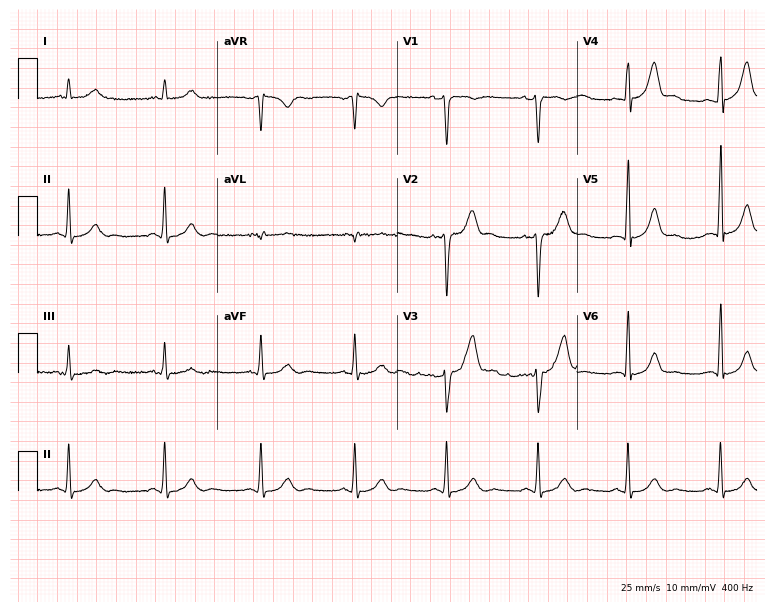
Electrocardiogram (7.3-second recording at 400 Hz), a 35-year-old male. Overall reading on record: normal ECG.